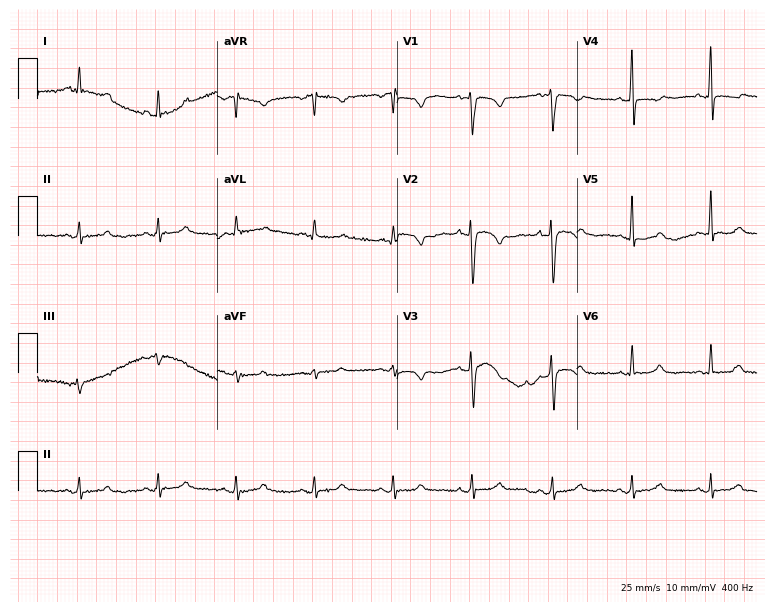
12-lead ECG from a female, 46 years old (7.3-second recording at 400 Hz). Recorded interpretation: within normal limits.